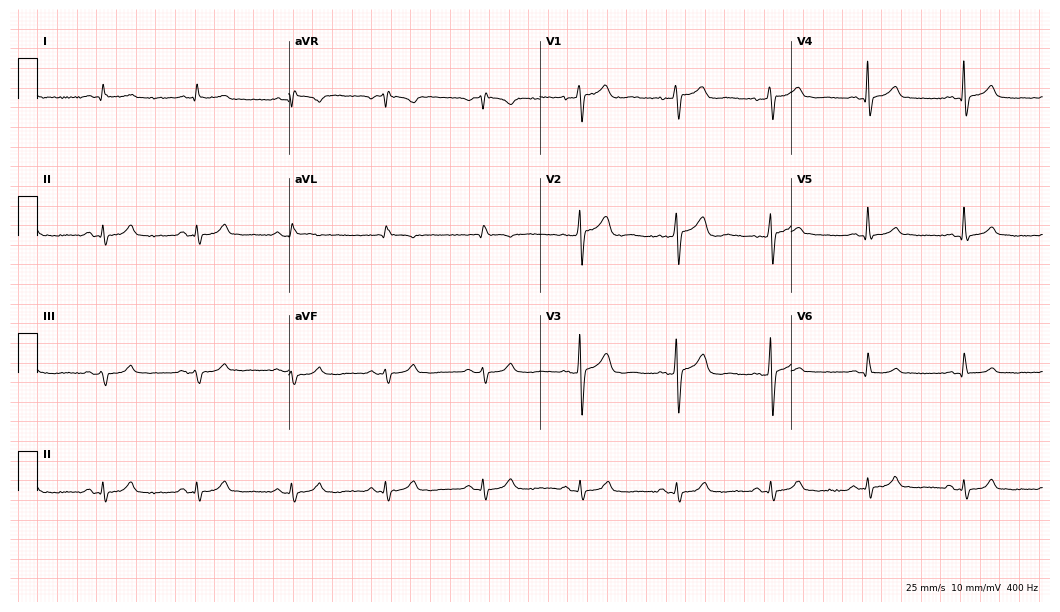
ECG — a male, 64 years old. Labelled as a normal ECG.